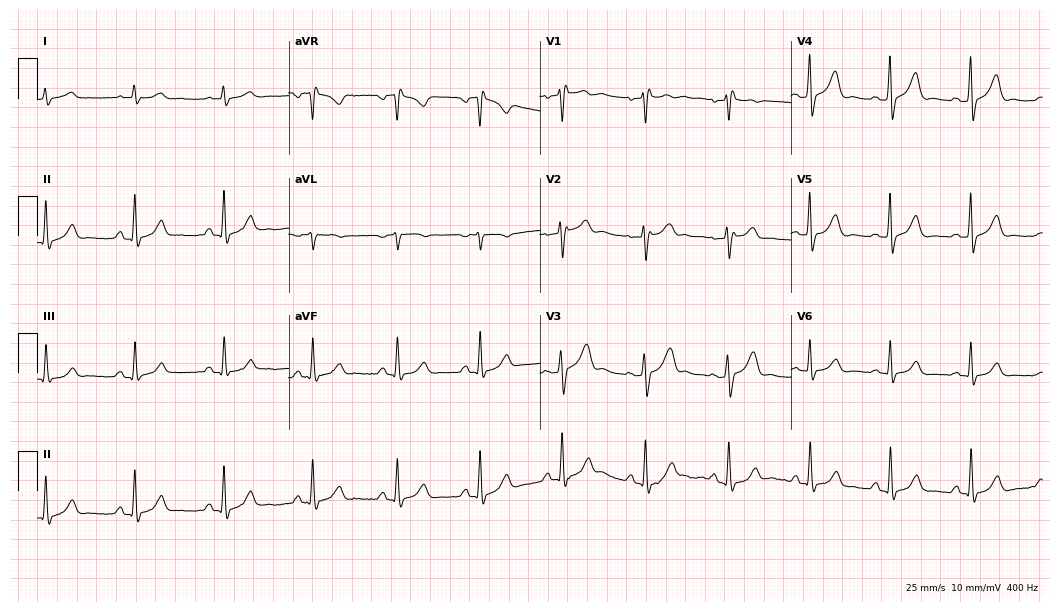
Standard 12-lead ECG recorded from a 65-year-old man (10.2-second recording at 400 Hz). None of these six findings is recorded: first-degree AV block, right bundle branch block, left bundle branch block, sinus bradycardia, atrial fibrillation, sinus tachycardia. Only these six findings were labelled.